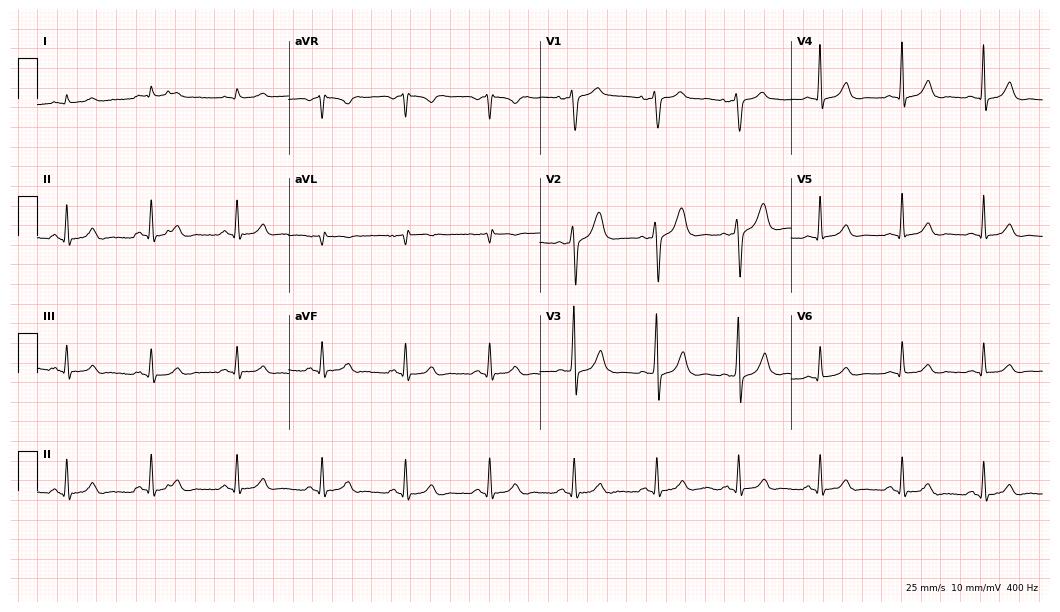
12-lead ECG (10.2-second recording at 400 Hz) from a 42-year-old male. Screened for six findings — first-degree AV block, right bundle branch block, left bundle branch block, sinus bradycardia, atrial fibrillation, sinus tachycardia — none is recorded.